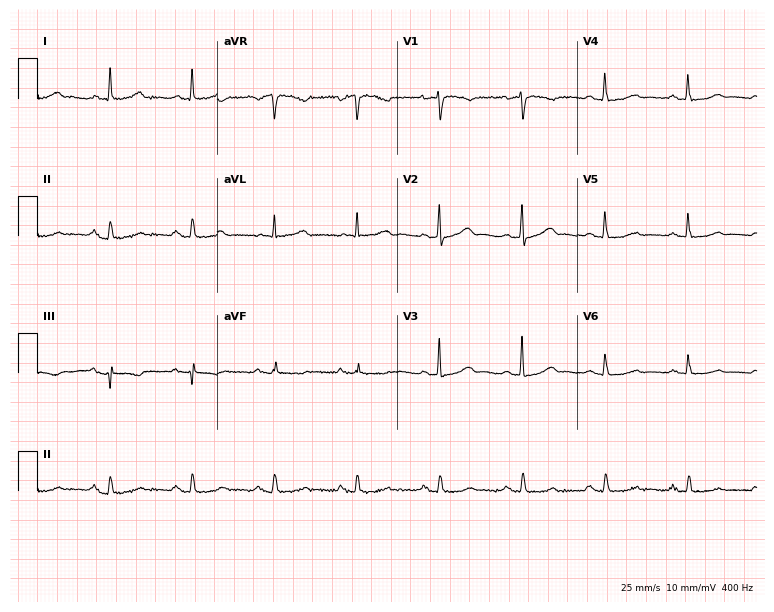
Resting 12-lead electrocardiogram (7.3-second recording at 400 Hz). Patient: a woman, 80 years old. Read as a normal ECG.